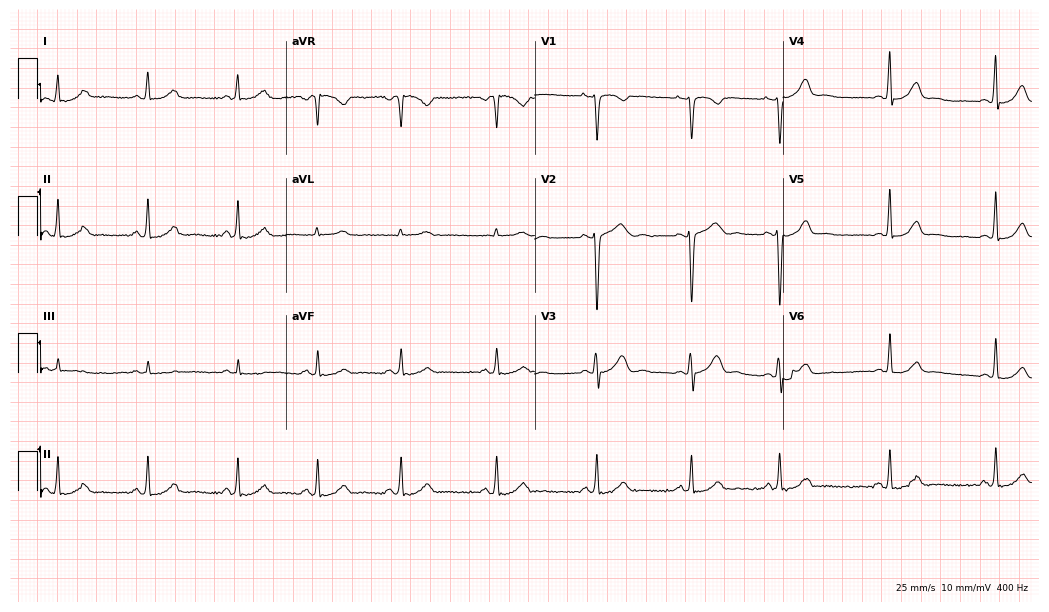
Resting 12-lead electrocardiogram. Patient: an 18-year-old woman. Read as a normal ECG.